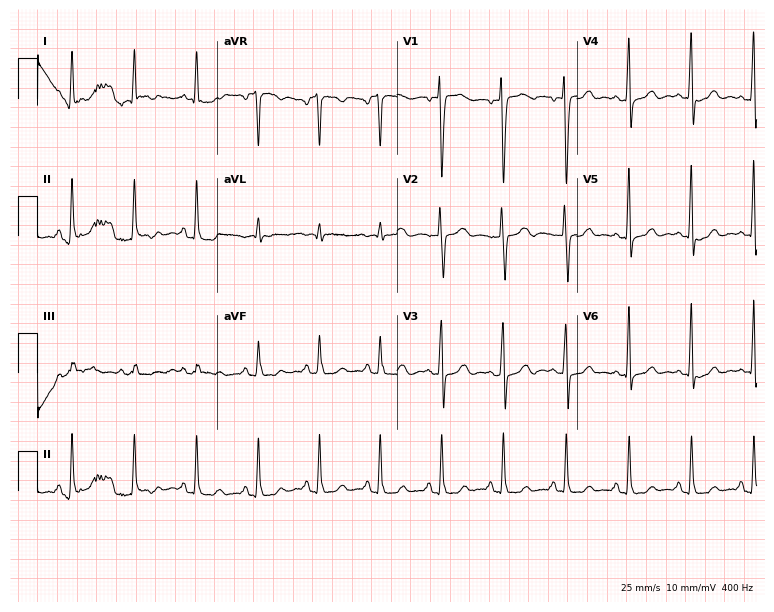
Resting 12-lead electrocardiogram. Patient: a female, 59 years old. None of these six findings is recorded: first-degree AV block, right bundle branch block, left bundle branch block, sinus bradycardia, atrial fibrillation, sinus tachycardia.